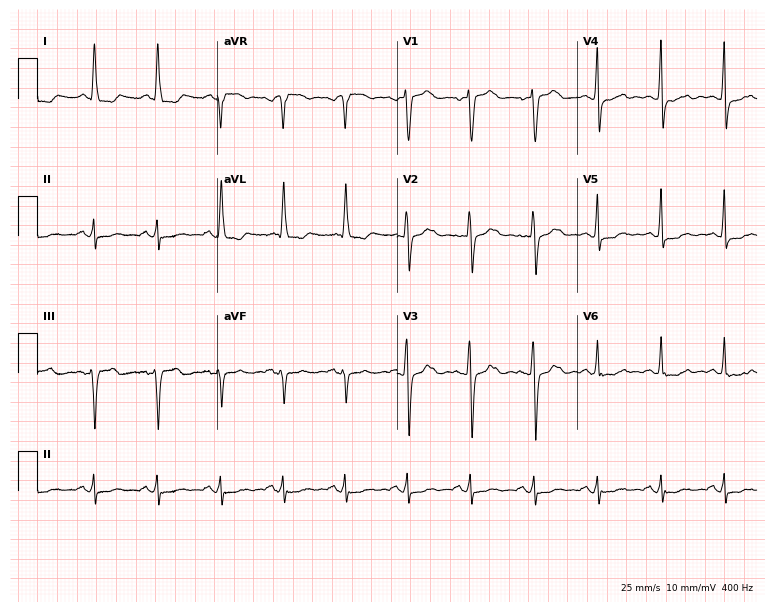
12-lead ECG (7.3-second recording at 400 Hz) from a 71-year-old woman. Screened for six findings — first-degree AV block, right bundle branch block, left bundle branch block, sinus bradycardia, atrial fibrillation, sinus tachycardia — none is recorded.